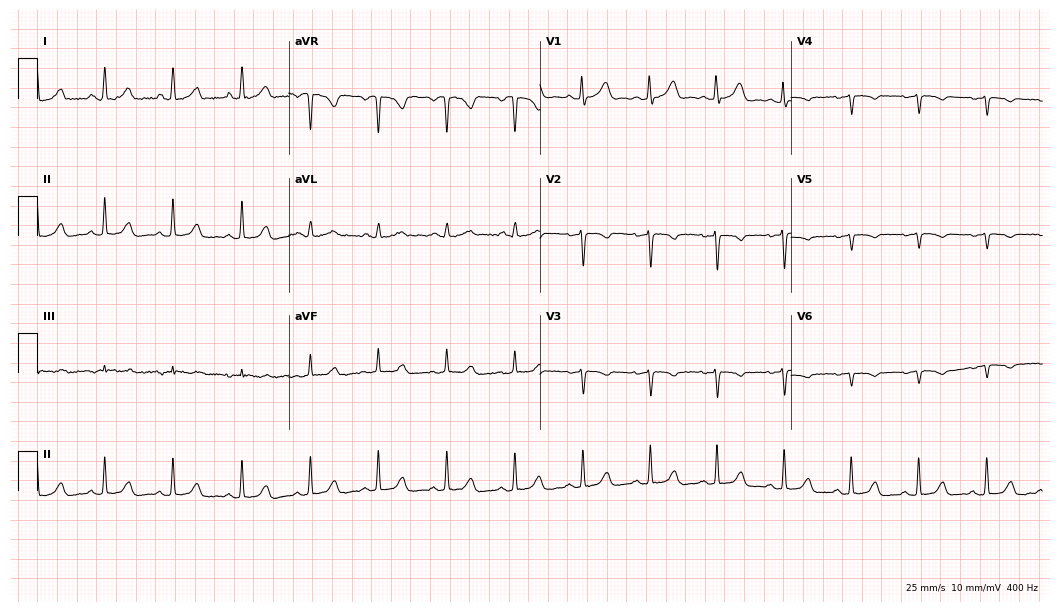
Standard 12-lead ECG recorded from a female patient, 35 years old (10.2-second recording at 400 Hz). None of these six findings is recorded: first-degree AV block, right bundle branch block, left bundle branch block, sinus bradycardia, atrial fibrillation, sinus tachycardia.